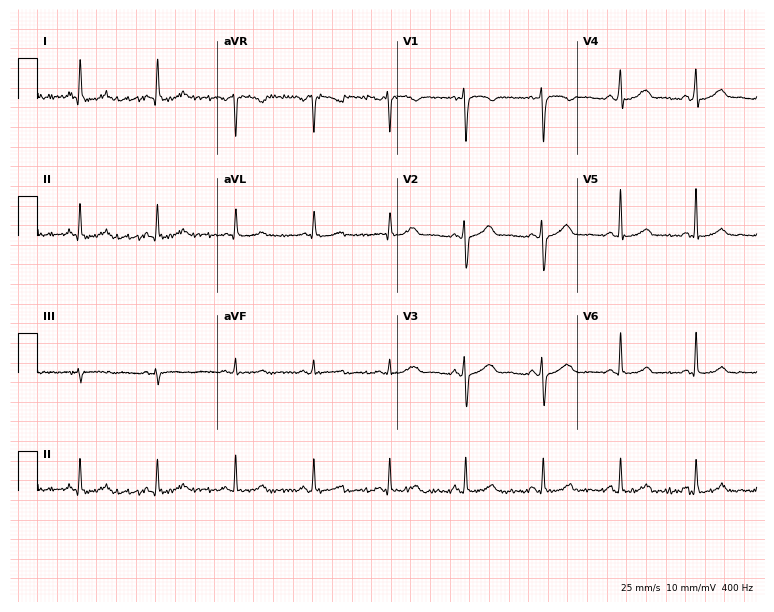
Standard 12-lead ECG recorded from a woman, 41 years old. Read as a normal ECG.